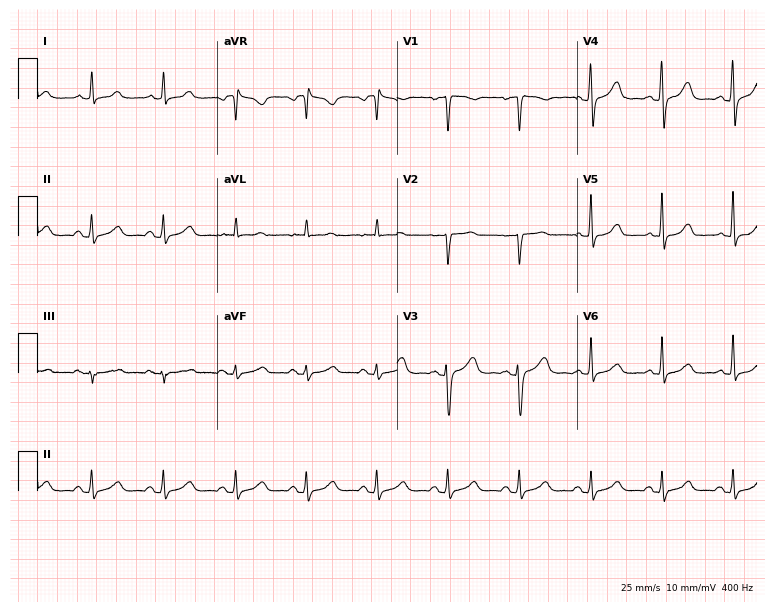
Standard 12-lead ECG recorded from a woman, 43 years old (7.3-second recording at 400 Hz). Read as a normal ECG.